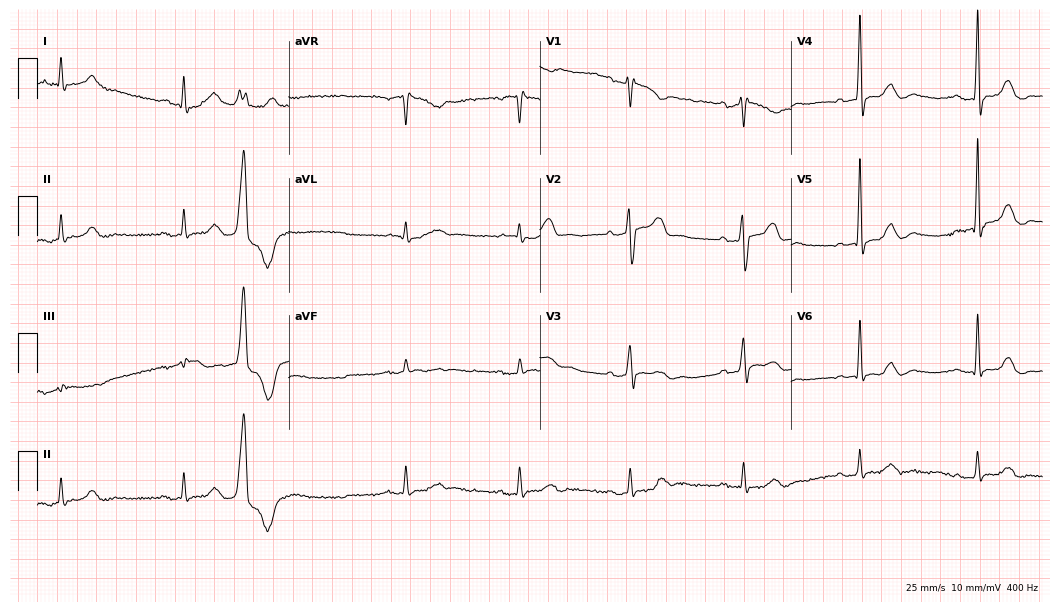
Electrocardiogram (10.2-second recording at 400 Hz), a 71-year-old man. Of the six screened findings (first-degree AV block, right bundle branch block, left bundle branch block, sinus bradycardia, atrial fibrillation, sinus tachycardia), none is recorded.